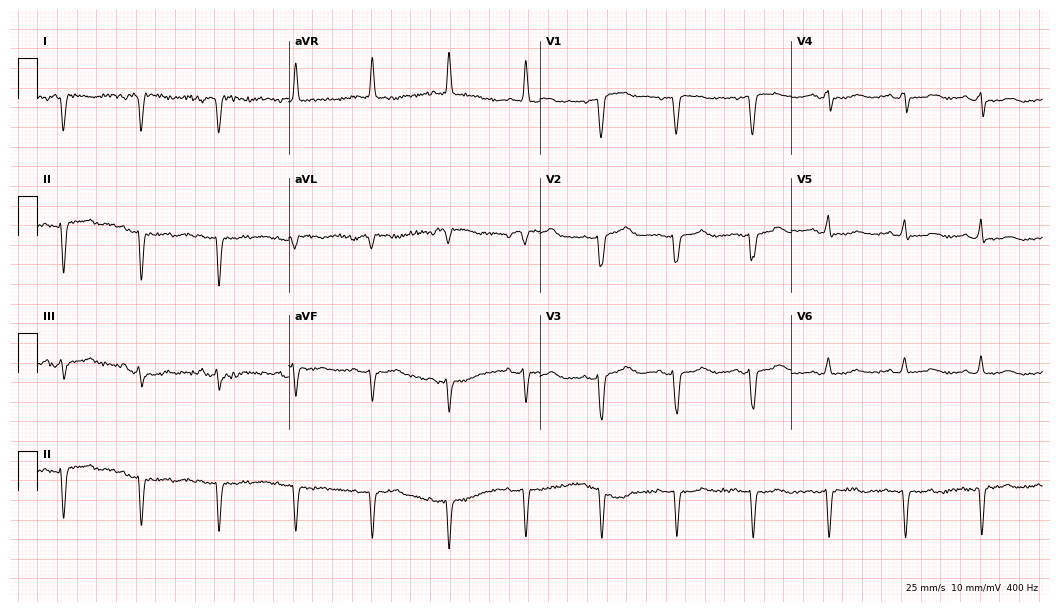
12-lead ECG from a woman, 69 years old. Recorded interpretation: within normal limits.